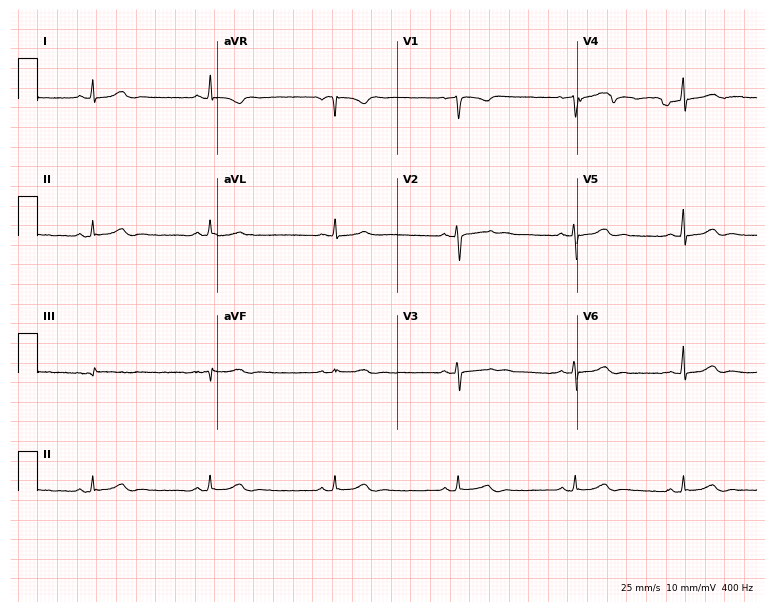
Resting 12-lead electrocardiogram. Patient: a 35-year-old female. The tracing shows sinus bradycardia (a sinus rate of 50 beats per minute or less).